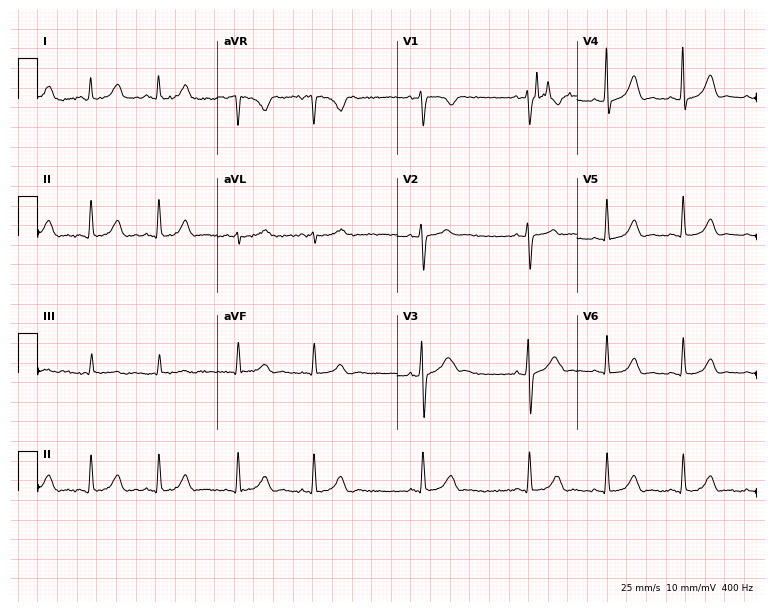
ECG (7.3-second recording at 400 Hz) — a 28-year-old woman. Screened for six findings — first-degree AV block, right bundle branch block, left bundle branch block, sinus bradycardia, atrial fibrillation, sinus tachycardia — none is recorded.